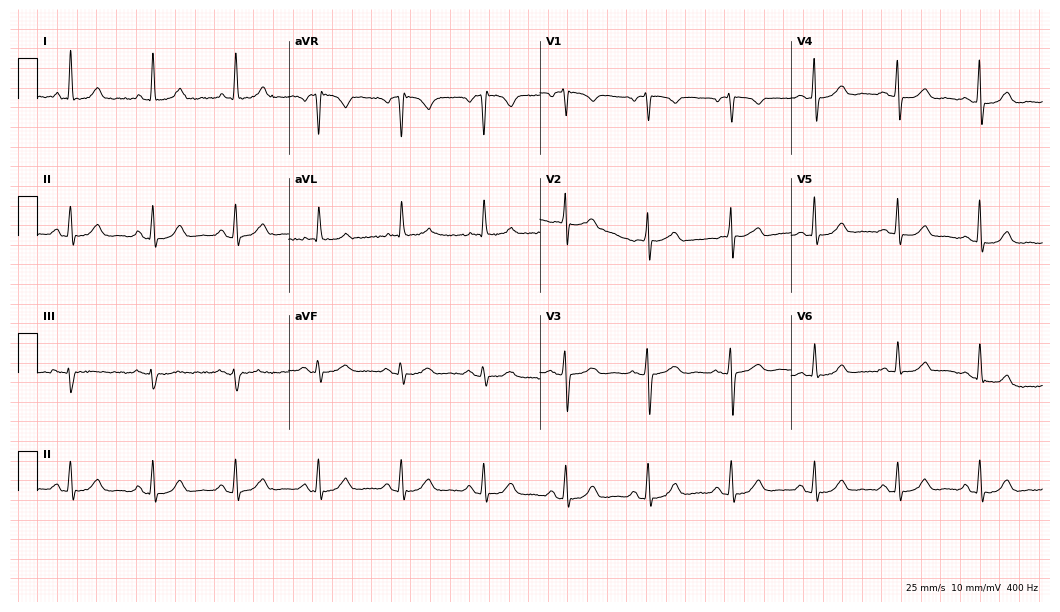
Electrocardiogram (10.2-second recording at 400 Hz), a woman, 79 years old. Overall reading on record: normal ECG.